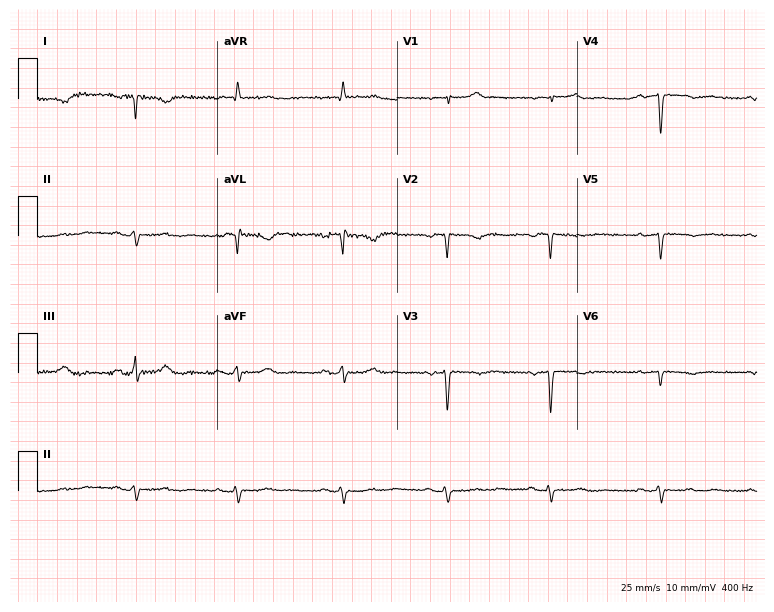
Electrocardiogram, a 74-year-old man. Of the six screened findings (first-degree AV block, right bundle branch block (RBBB), left bundle branch block (LBBB), sinus bradycardia, atrial fibrillation (AF), sinus tachycardia), none is recorded. Findings outside these six are not listed.